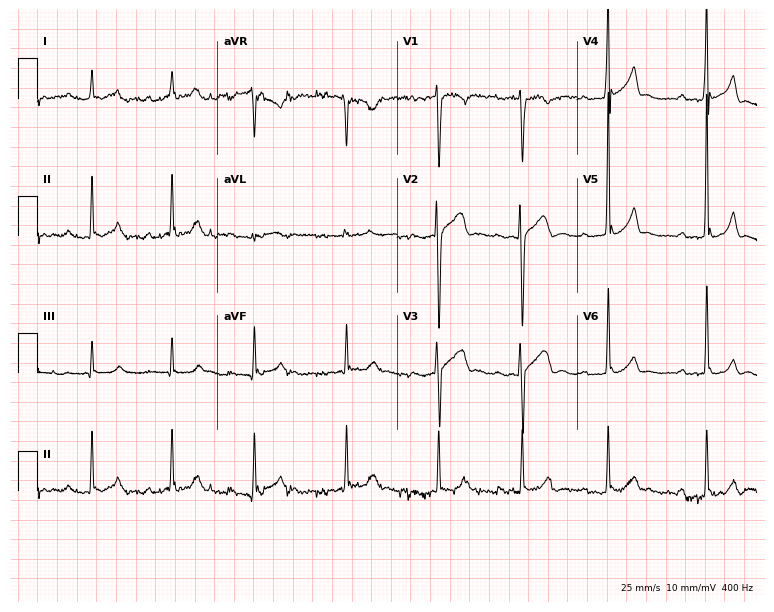
12-lead ECG from a 17-year-old male. Findings include first-degree AV block.